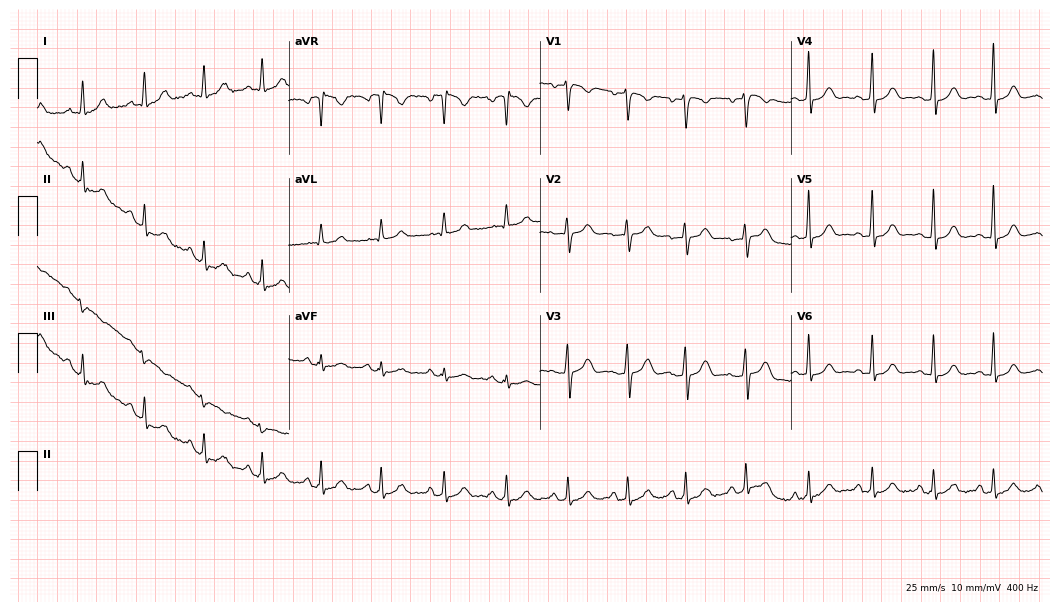
Standard 12-lead ECG recorded from a 30-year-old woman (10.2-second recording at 400 Hz). Read as a normal ECG.